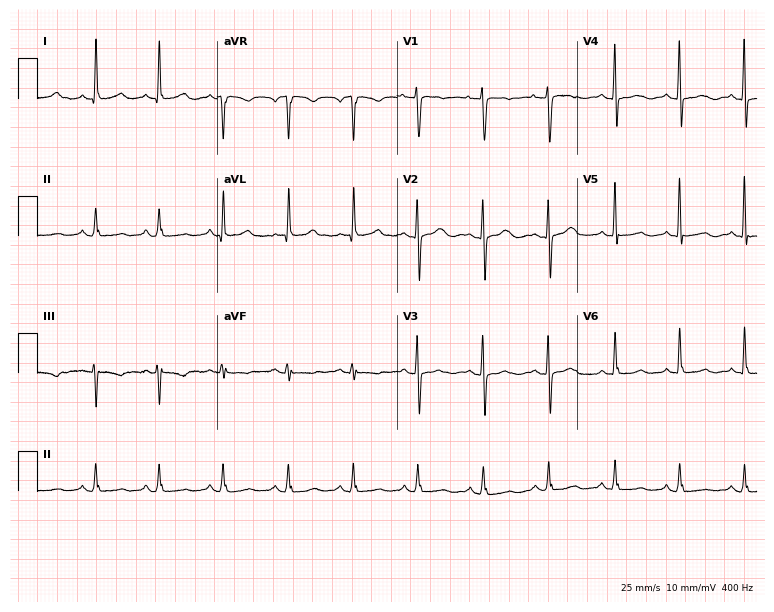
ECG — a 73-year-old female patient. Labelled as a normal ECG.